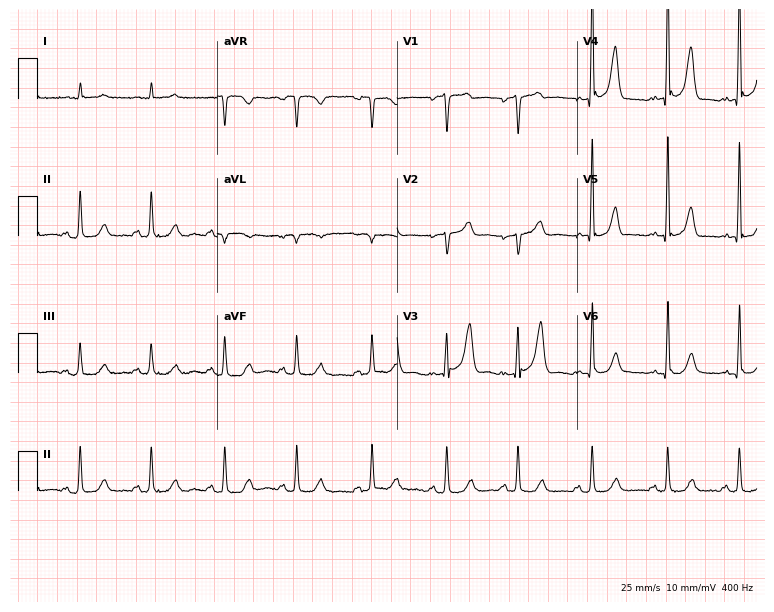
Resting 12-lead electrocardiogram. Patient: a man, 74 years old. None of these six findings is recorded: first-degree AV block, right bundle branch block, left bundle branch block, sinus bradycardia, atrial fibrillation, sinus tachycardia.